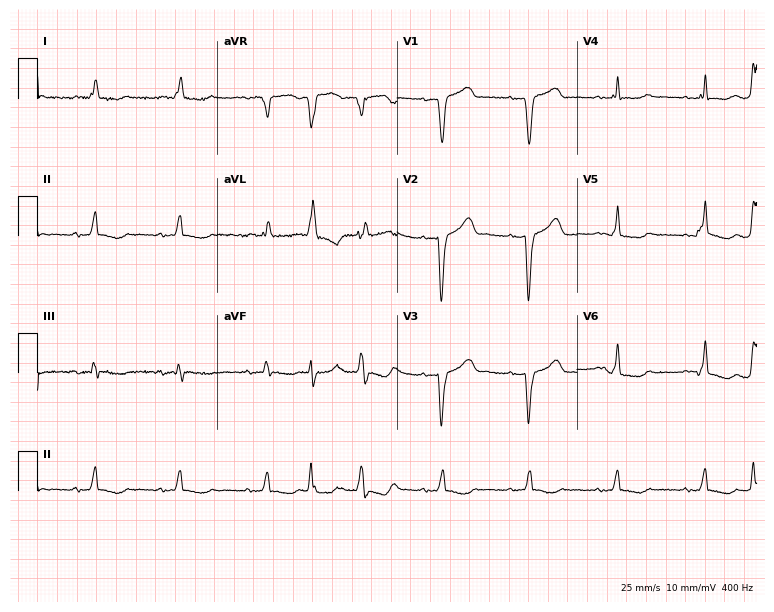
Electrocardiogram, an 80-year-old female patient. Of the six screened findings (first-degree AV block, right bundle branch block (RBBB), left bundle branch block (LBBB), sinus bradycardia, atrial fibrillation (AF), sinus tachycardia), none is recorded. Only these six findings were labelled.